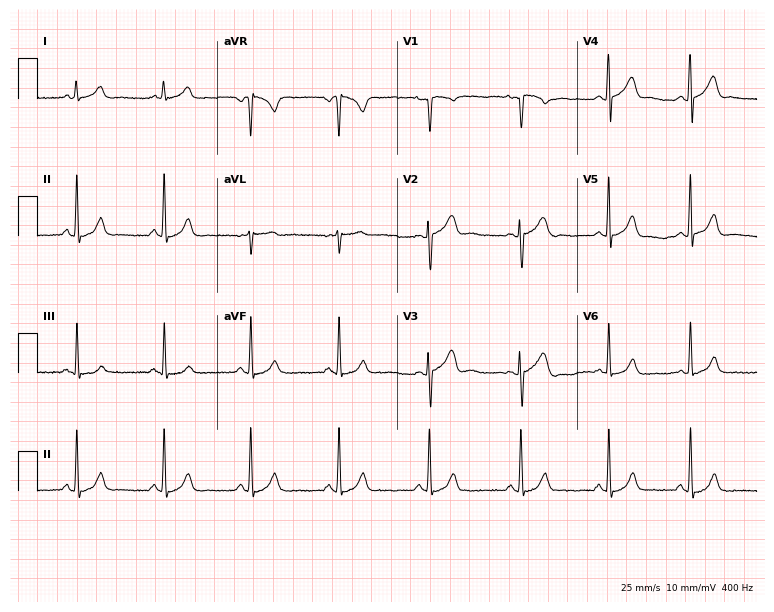
ECG — a female patient, 17 years old. Screened for six findings — first-degree AV block, right bundle branch block, left bundle branch block, sinus bradycardia, atrial fibrillation, sinus tachycardia — none is recorded.